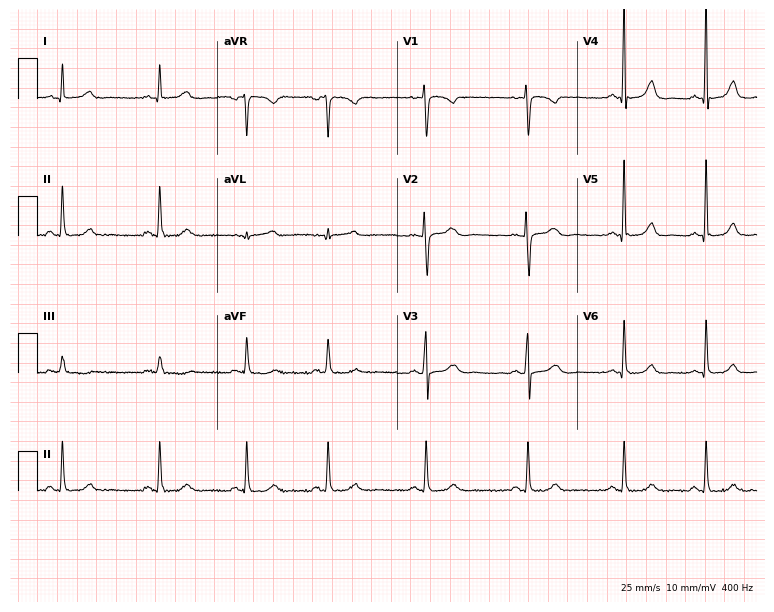
12-lead ECG from a 25-year-old woman. No first-degree AV block, right bundle branch block (RBBB), left bundle branch block (LBBB), sinus bradycardia, atrial fibrillation (AF) or sinus tachycardia recorded for this tracing. Findings outside these six are not listed.